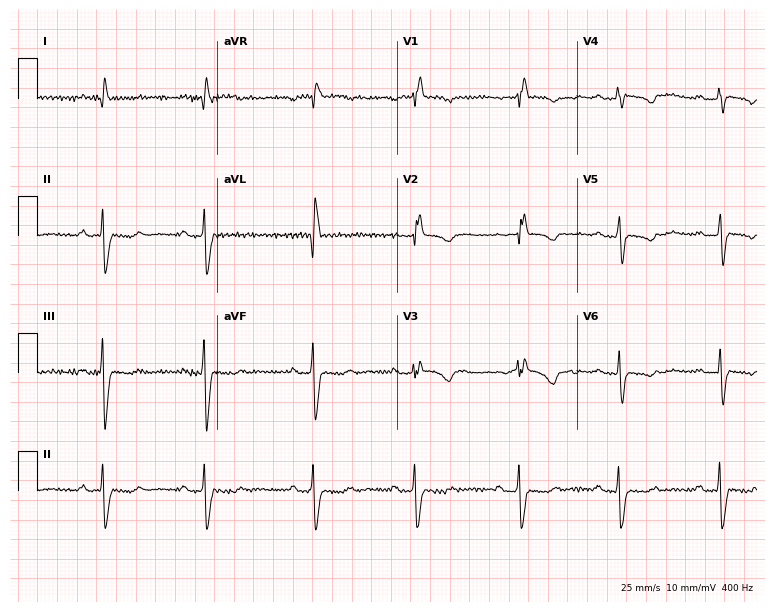
Electrocardiogram, a 48-year-old female patient. Interpretation includes right bundle branch block.